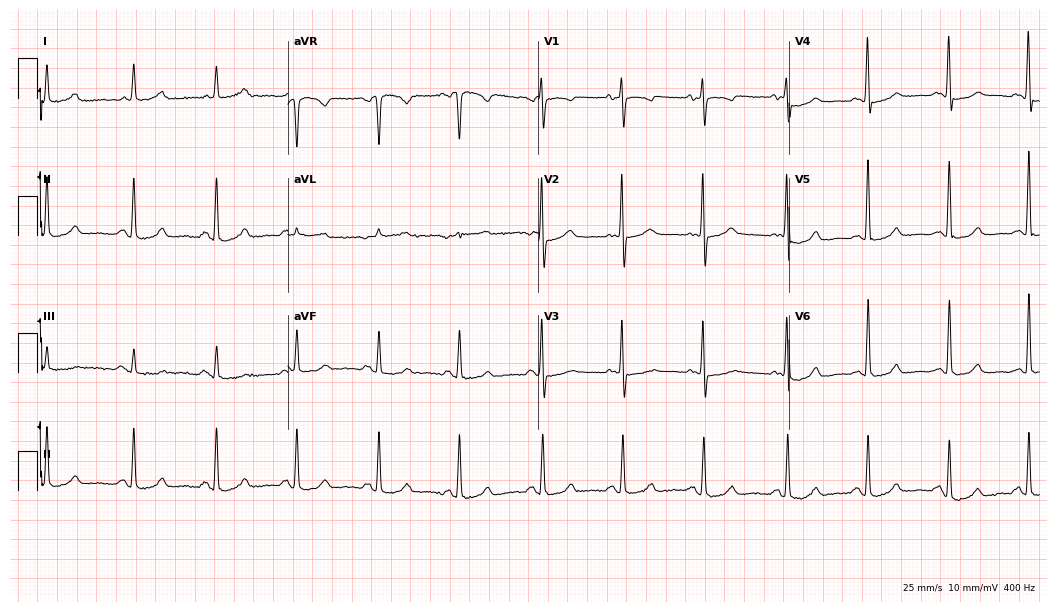
Resting 12-lead electrocardiogram. Patient: a 74-year-old female. Read as a normal ECG.